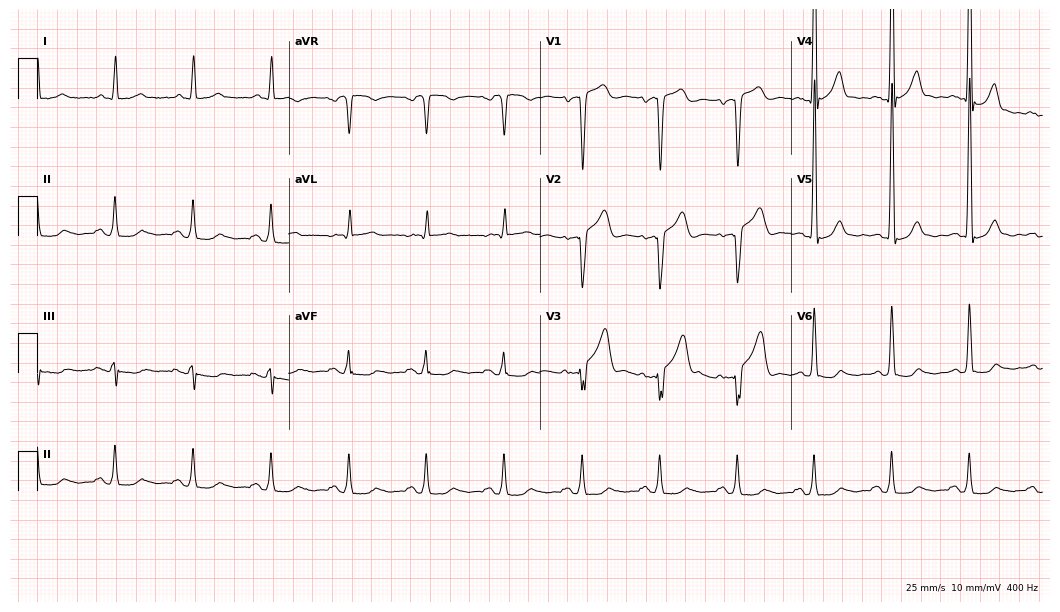
ECG (10.2-second recording at 400 Hz) — a male, 67 years old. Screened for six findings — first-degree AV block, right bundle branch block, left bundle branch block, sinus bradycardia, atrial fibrillation, sinus tachycardia — none is recorded.